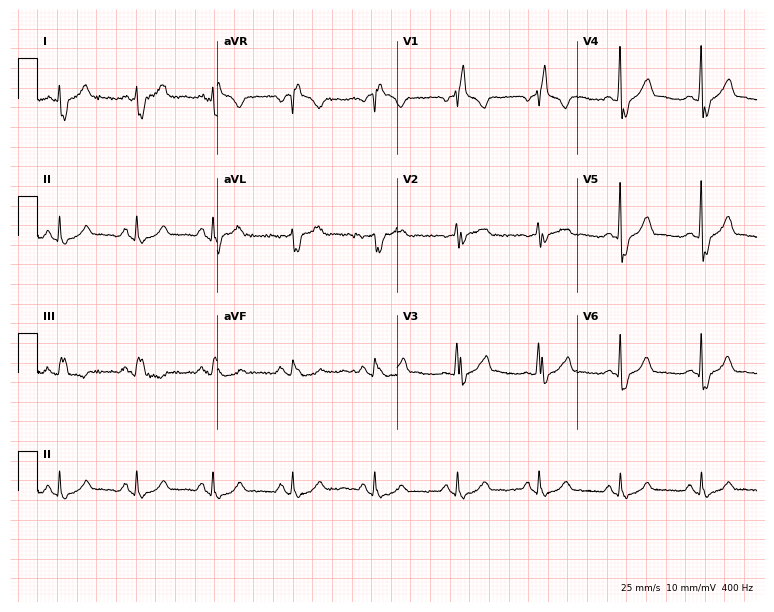
Electrocardiogram, a 66-year-old male patient. Interpretation includes right bundle branch block.